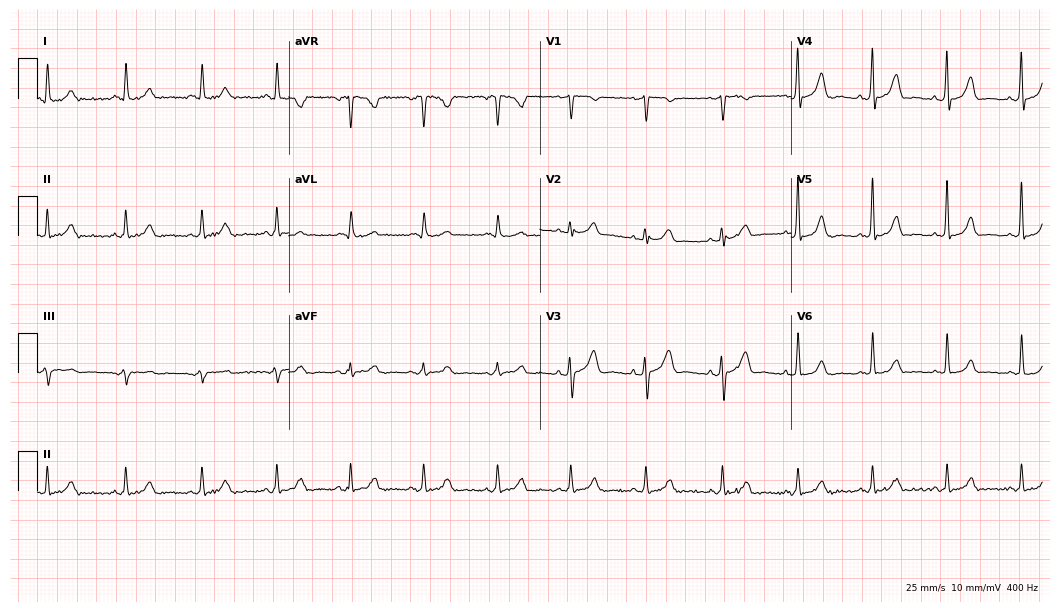
Resting 12-lead electrocardiogram. Patient: a female, 73 years old. Read as a normal ECG.